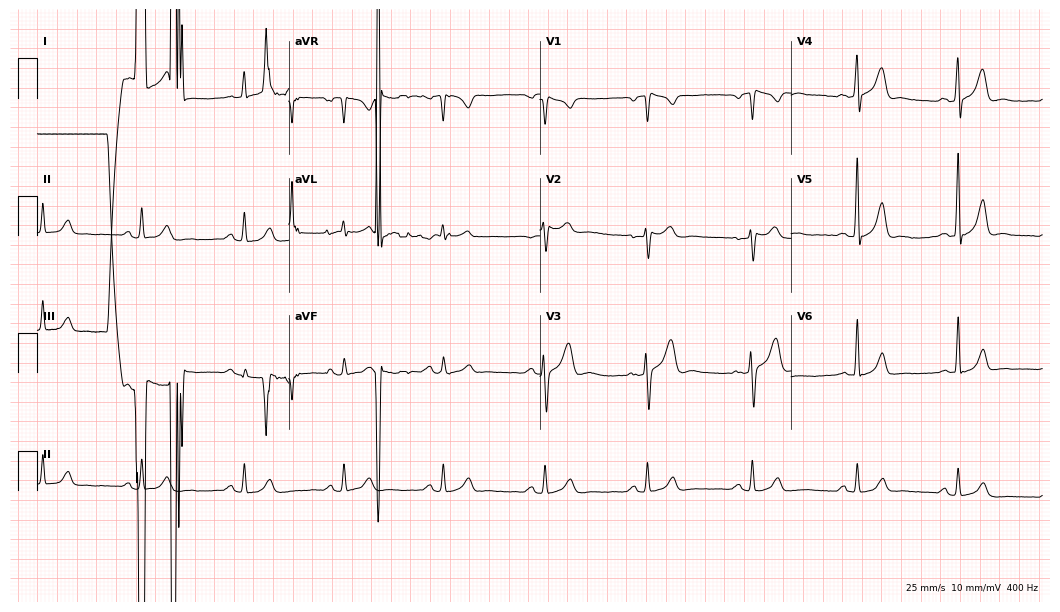
Resting 12-lead electrocardiogram. Patient: a 38-year-old male. None of these six findings is recorded: first-degree AV block, right bundle branch block, left bundle branch block, sinus bradycardia, atrial fibrillation, sinus tachycardia.